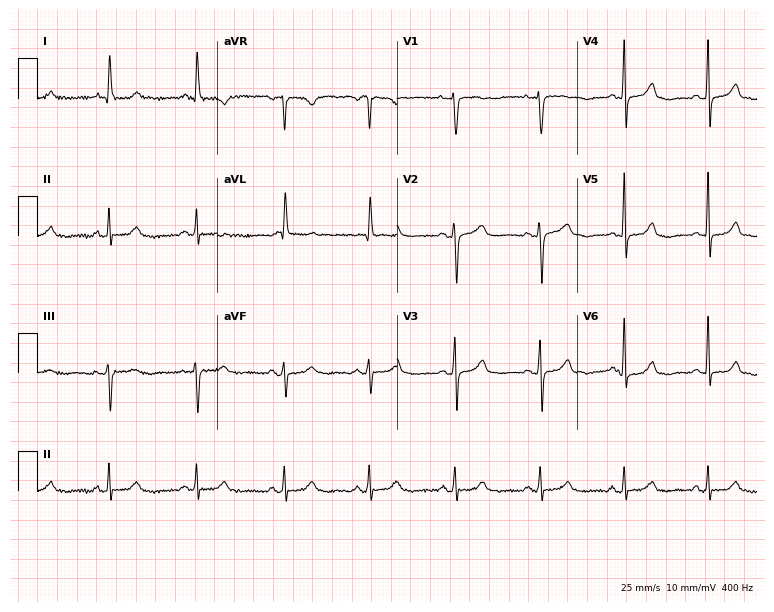
Electrocardiogram (7.3-second recording at 400 Hz), a woman, 62 years old. Overall reading on record: normal ECG.